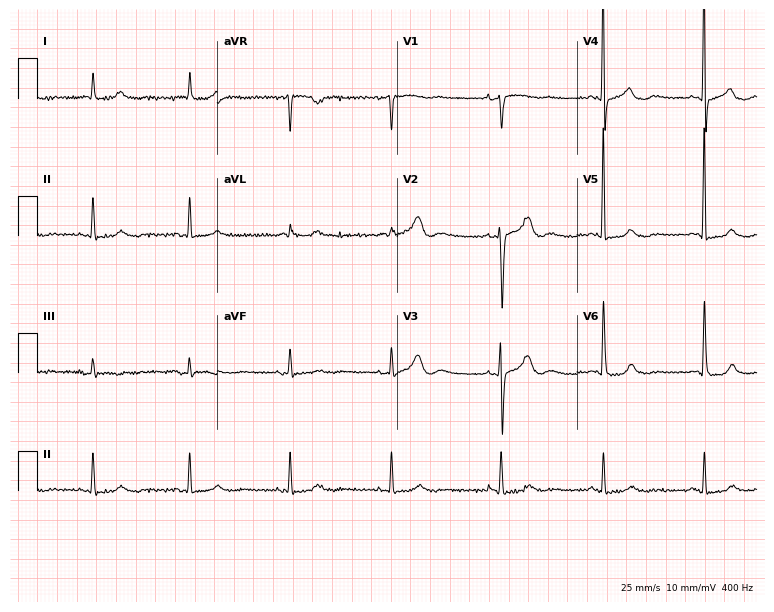
12-lead ECG from a woman, 85 years old. Screened for six findings — first-degree AV block, right bundle branch block, left bundle branch block, sinus bradycardia, atrial fibrillation, sinus tachycardia — none is recorded. Only these six findings were labelled.